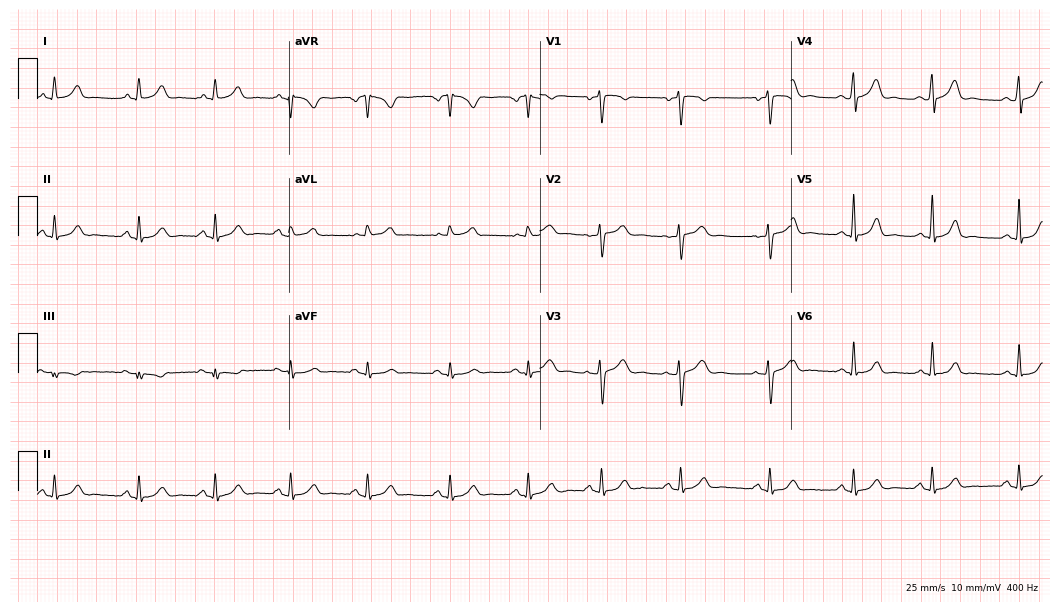
Resting 12-lead electrocardiogram (10.2-second recording at 400 Hz). Patient: a 42-year-old female. Read as a normal ECG.